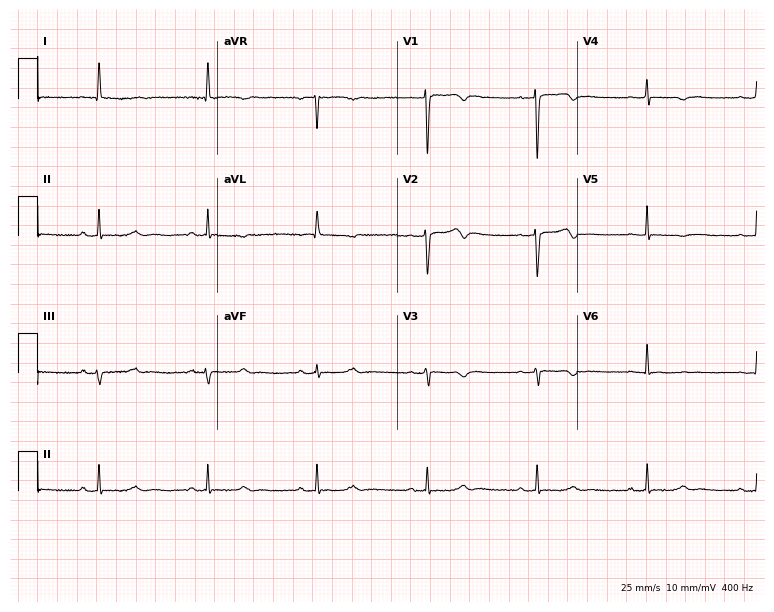
Standard 12-lead ECG recorded from a female patient, 68 years old (7.3-second recording at 400 Hz). None of these six findings is recorded: first-degree AV block, right bundle branch block (RBBB), left bundle branch block (LBBB), sinus bradycardia, atrial fibrillation (AF), sinus tachycardia.